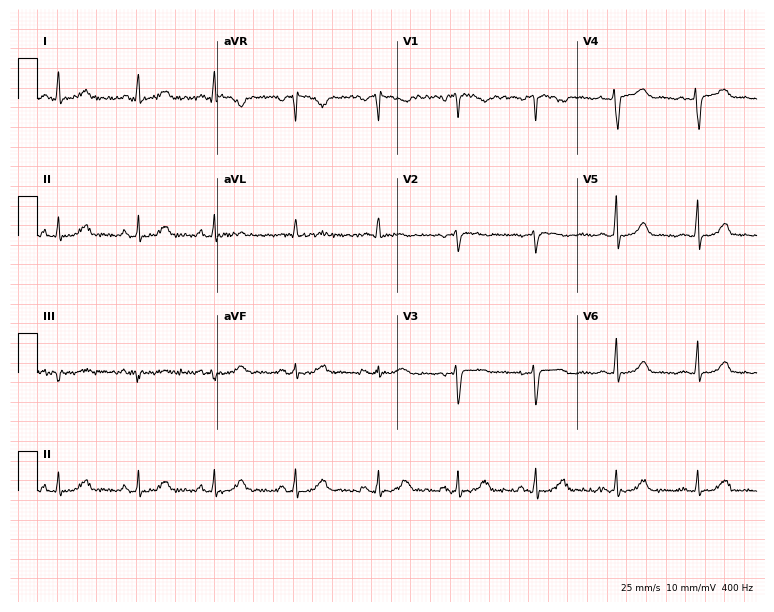
Standard 12-lead ECG recorded from a 42-year-old woman (7.3-second recording at 400 Hz). None of these six findings is recorded: first-degree AV block, right bundle branch block, left bundle branch block, sinus bradycardia, atrial fibrillation, sinus tachycardia.